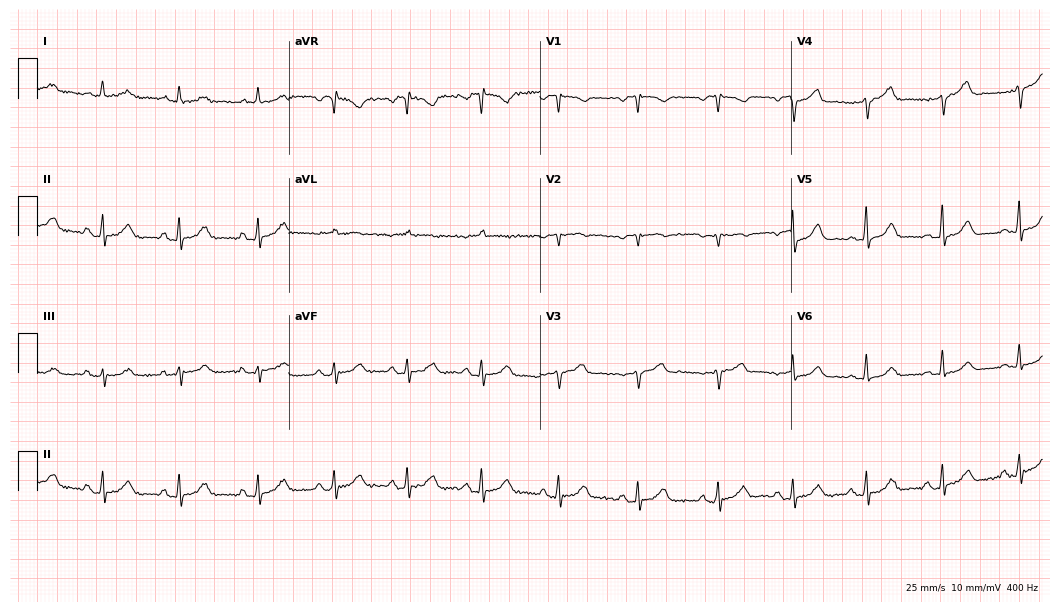
12-lead ECG from a 61-year-old female. No first-degree AV block, right bundle branch block, left bundle branch block, sinus bradycardia, atrial fibrillation or sinus tachycardia recorded for this tracing.